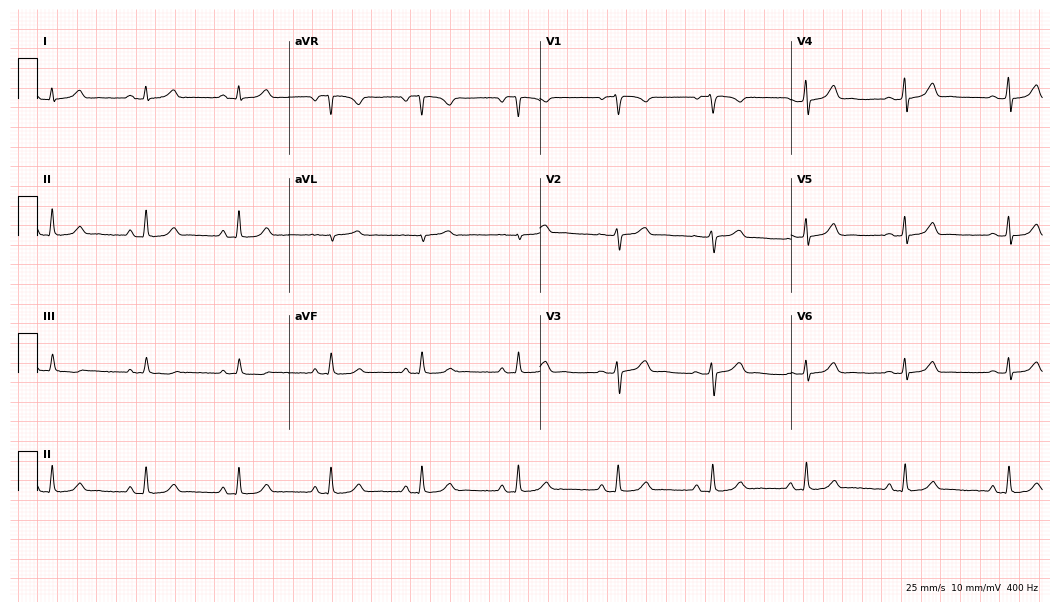
Electrocardiogram, a 26-year-old female. Overall reading on record: normal ECG.